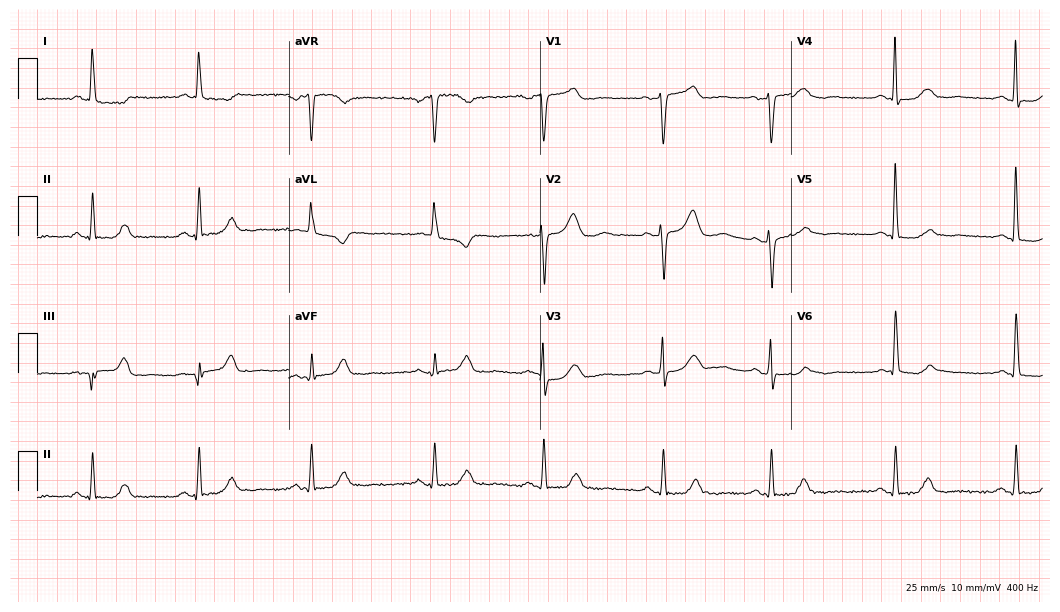
Standard 12-lead ECG recorded from a 78-year-old female. None of these six findings is recorded: first-degree AV block, right bundle branch block (RBBB), left bundle branch block (LBBB), sinus bradycardia, atrial fibrillation (AF), sinus tachycardia. Only these six findings were labelled.